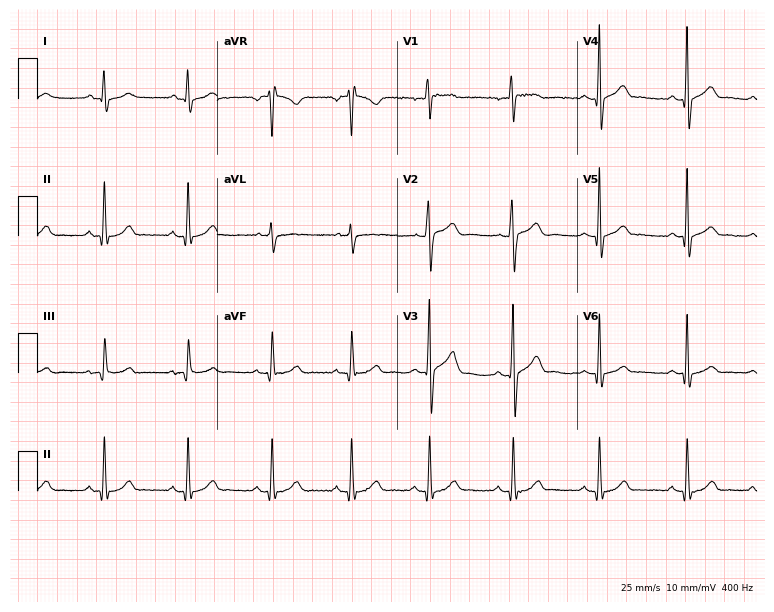
12-lead ECG (7.3-second recording at 400 Hz) from a male patient, 18 years old. Labelled as a normal ECG.